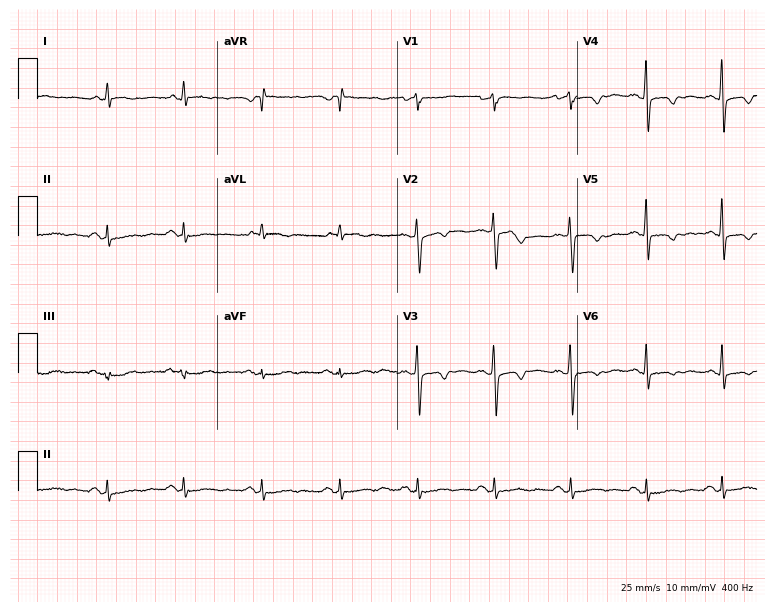
12-lead ECG from a male patient, 52 years old (7.3-second recording at 400 Hz). No first-degree AV block, right bundle branch block (RBBB), left bundle branch block (LBBB), sinus bradycardia, atrial fibrillation (AF) or sinus tachycardia recorded for this tracing. Other findings, if any, are not listed.